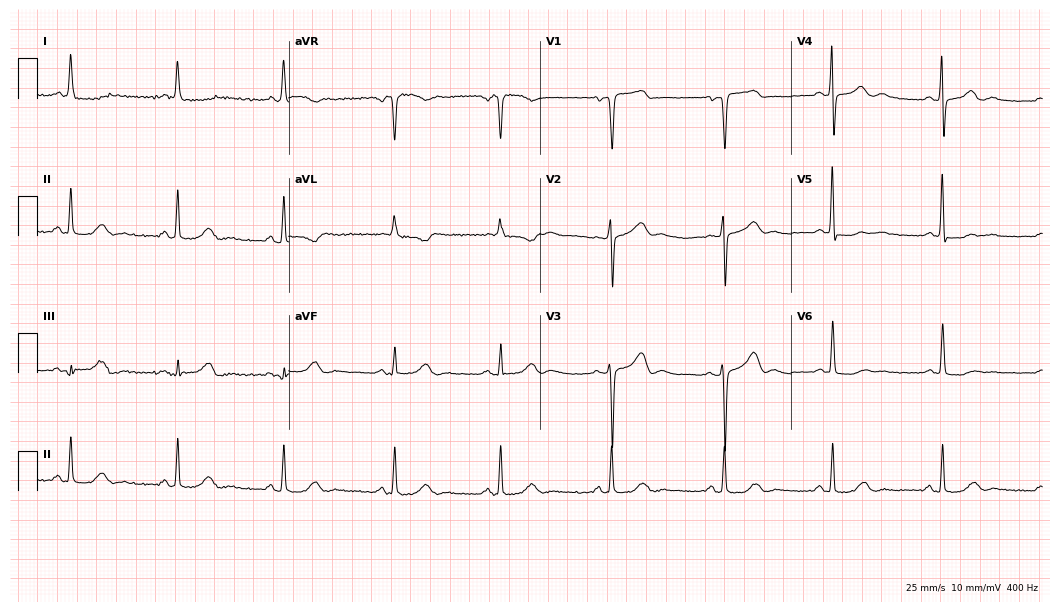
ECG (10.2-second recording at 400 Hz) — a 63-year-old female. Labelled as a normal ECG.